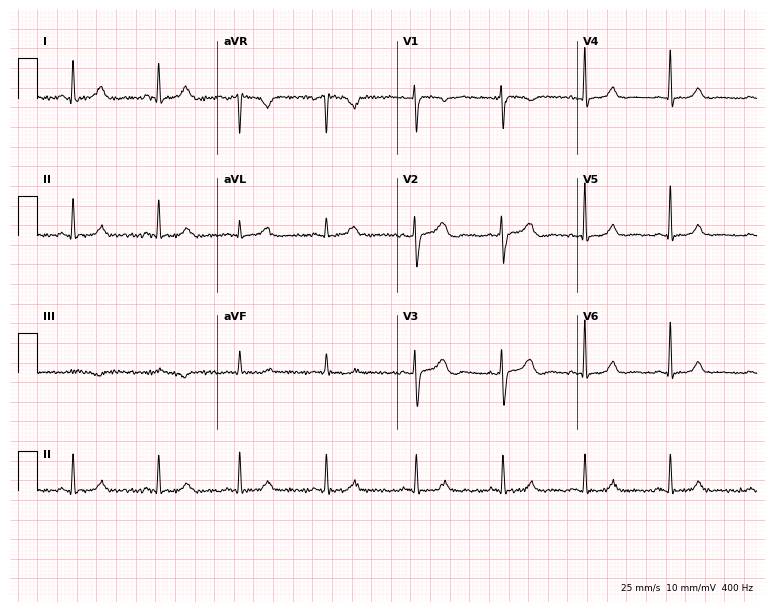
Electrocardiogram, a 33-year-old female patient. Overall reading on record: normal ECG.